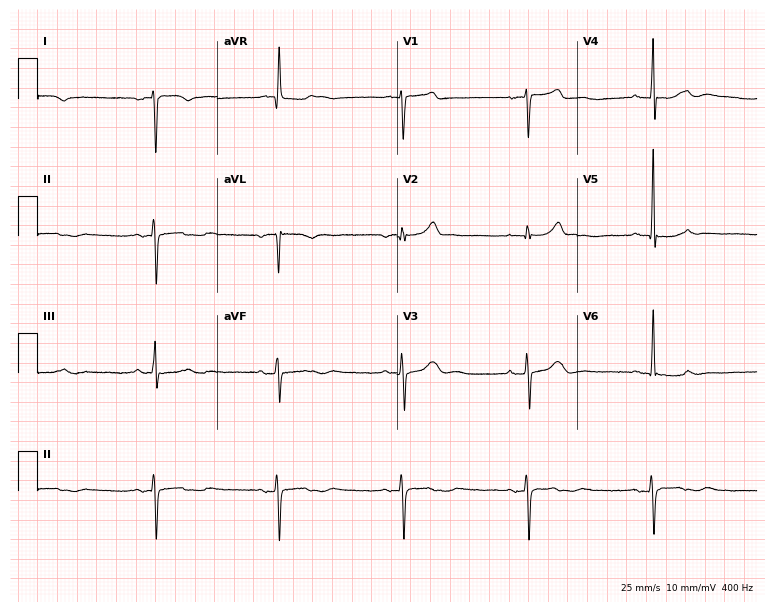
Standard 12-lead ECG recorded from a 64-year-old female. None of these six findings is recorded: first-degree AV block, right bundle branch block, left bundle branch block, sinus bradycardia, atrial fibrillation, sinus tachycardia.